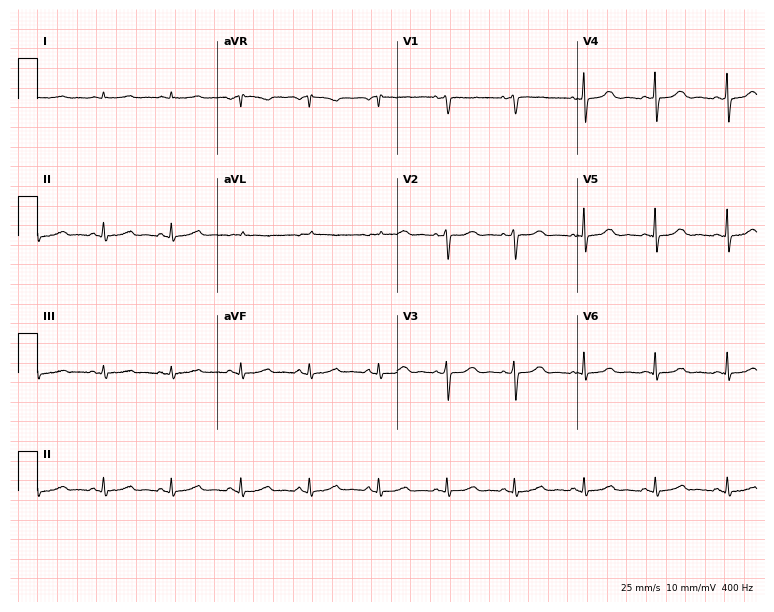
12-lead ECG from a 68-year-old male. Recorded interpretation: within normal limits.